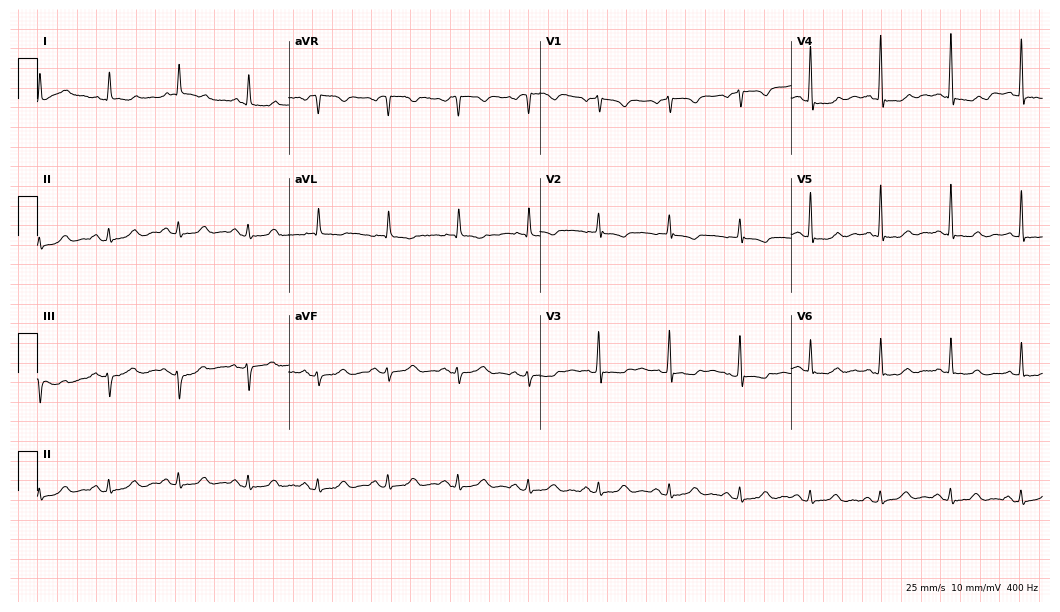
Resting 12-lead electrocardiogram (10.2-second recording at 400 Hz). Patient: an 81-year-old female. None of these six findings is recorded: first-degree AV block, right bundle branch block, left bundle branch block, sinus bradycardia, atrial fibrillation, sinus tachycardia.